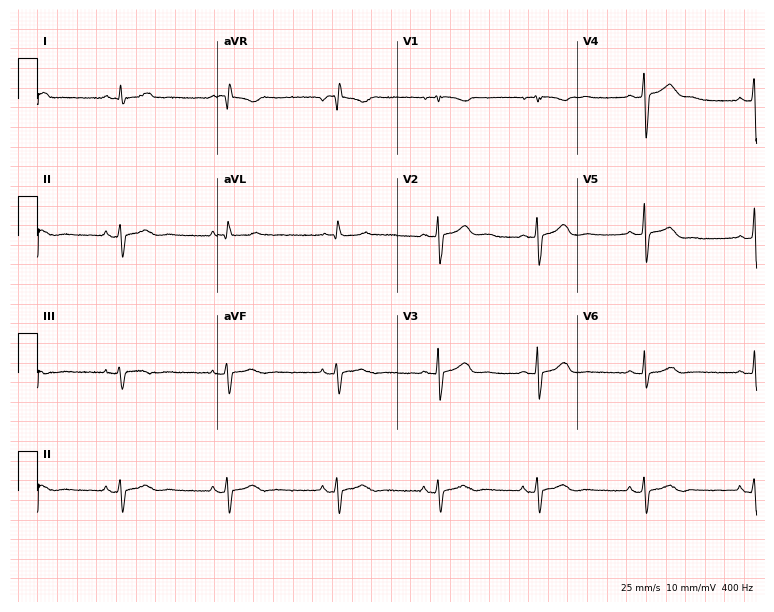
ECG (7.3-second recording at 400 Hz) — a 32-year-old female. Screened for six findings — first-degree AV block, right bundle branch block (RBBB), left bundle branch block (LBBB), sinus bradycardia, atrial fibrillation (AF), sinus tachycardia — none is recorded.